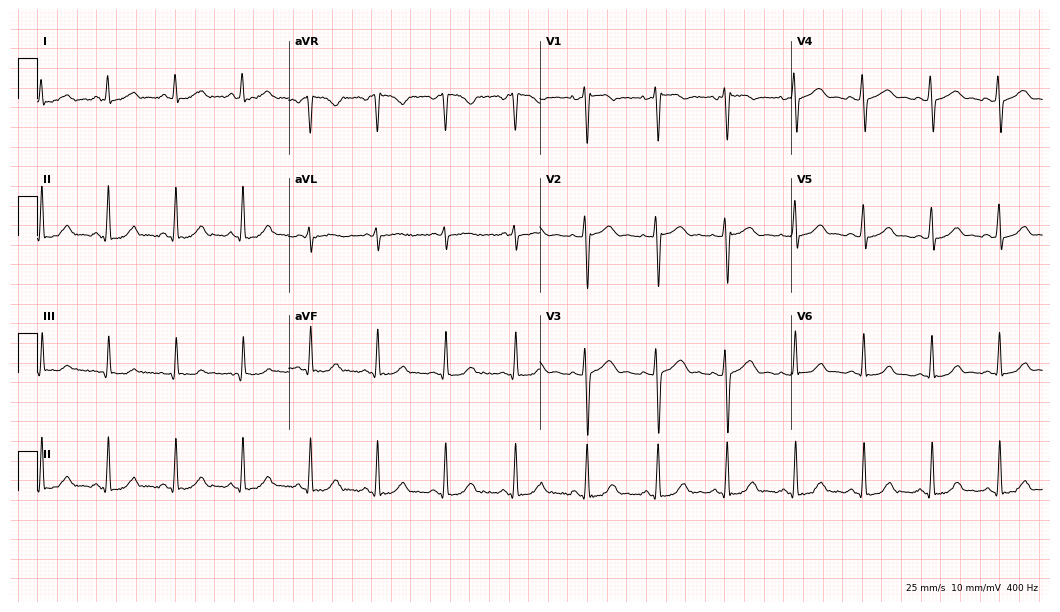
12-lead ECG (10.2-second recording at 400 Hz) from a 32-year-old woman. Labelled as a normal ECG.